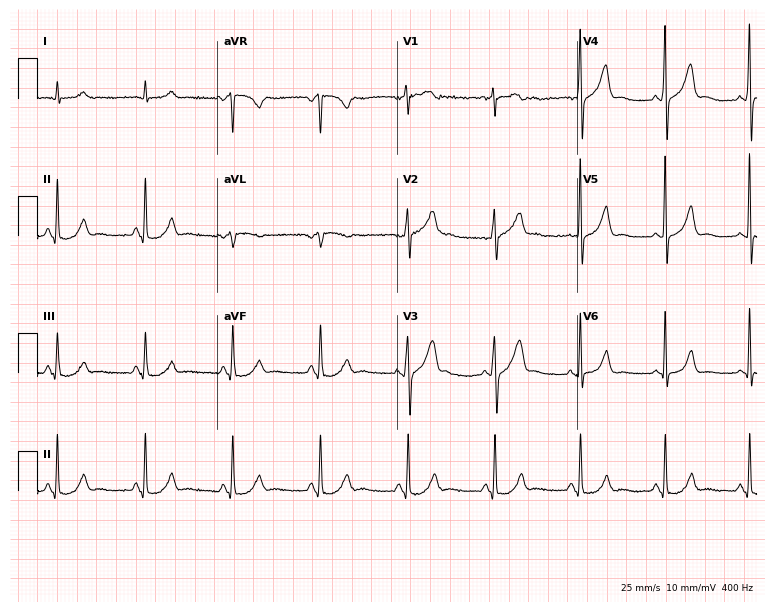
12-lead ECG from a man, 58 years old. Recorded interpretation: within normal limits.